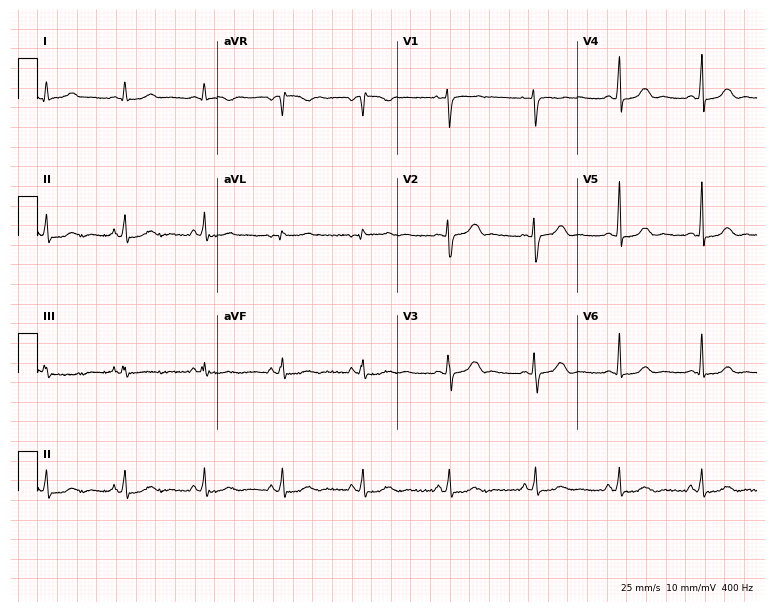
Standard 12-lead ECG recorded from a woman, 33 years old. None of these six findings is recorded: first-degree AV block, right bundle branch block, left bundle branch block, sinus bradycardia, atrial fibrillation, sinus tachycardia.